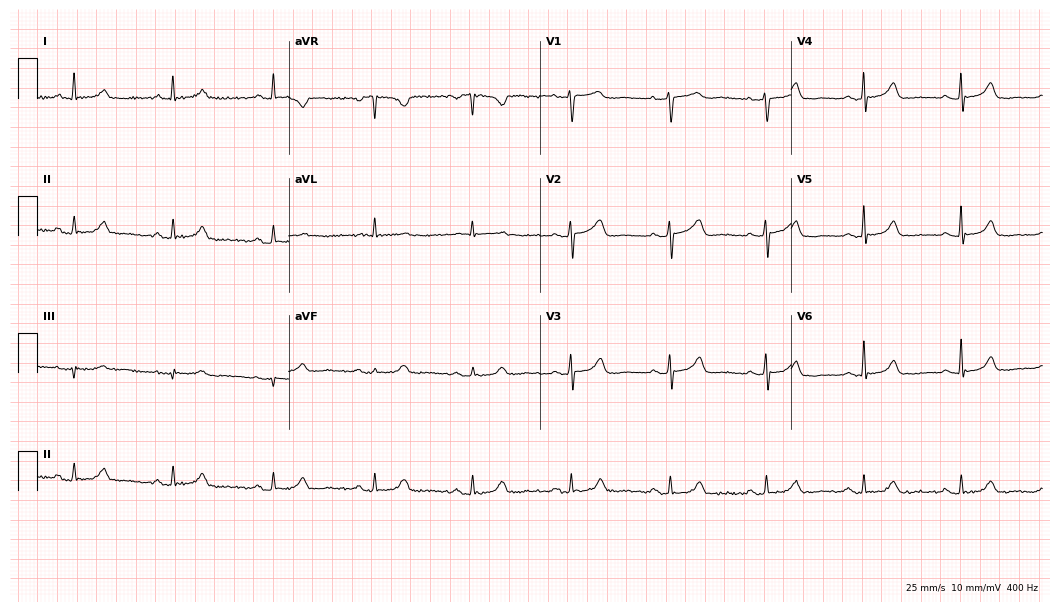
12-lead ECG from a 67-year-old woman. Labelled as a normal ECG.